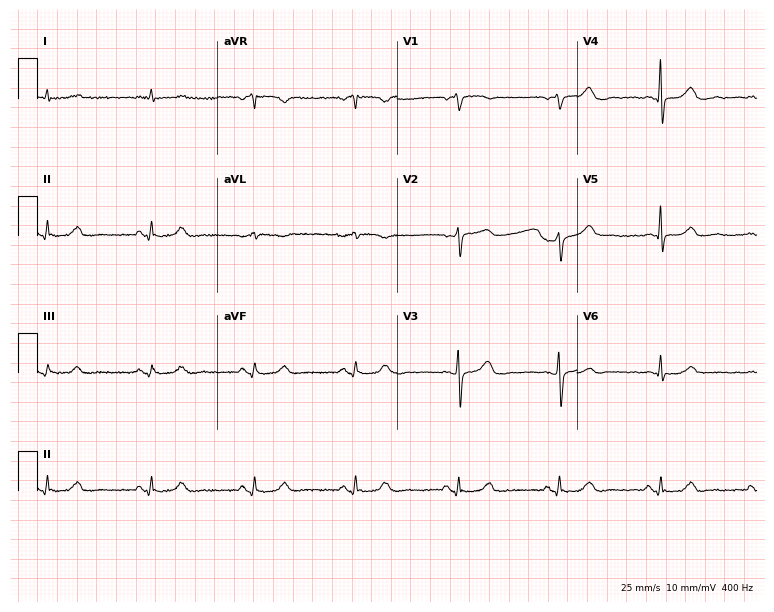
ECG — an 81-year-old male patient. Labelled as a normal ECG.